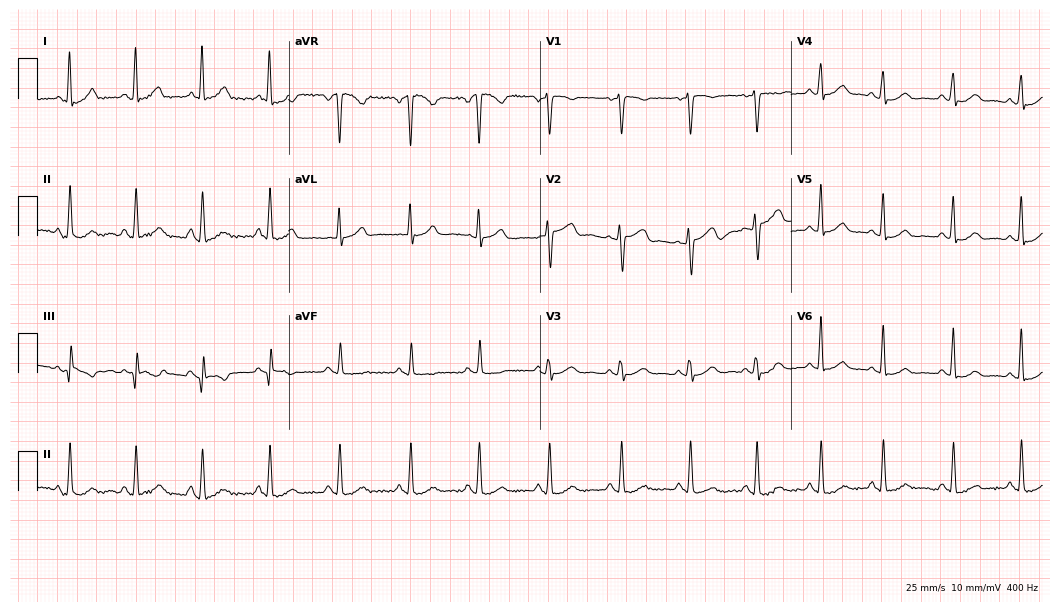
12-lead ECG (10.2-second recording at 400 Hz) from a female patient, 35 years old. Screened for six findings — first-degree AV block, right bundle branch block, left bundle branch block, sinus bradycardia, atrial fibrillation, sinus tachycardia — none is recorded.